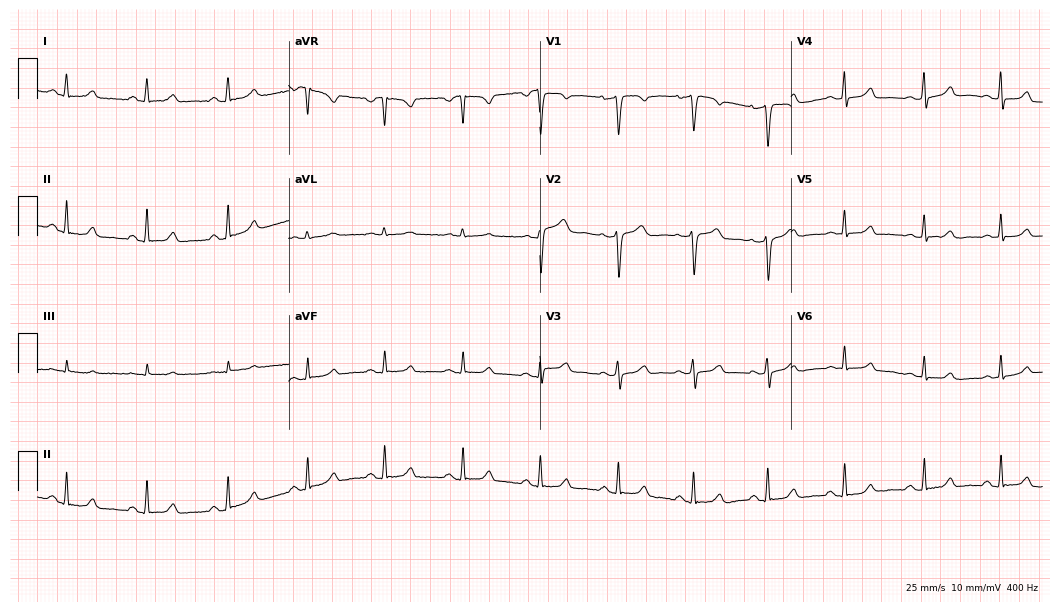
Electrocardiogram (10.2-second recording at 400 Hz), a 35-year-old female patient. Overall reading on record: normal ECG.